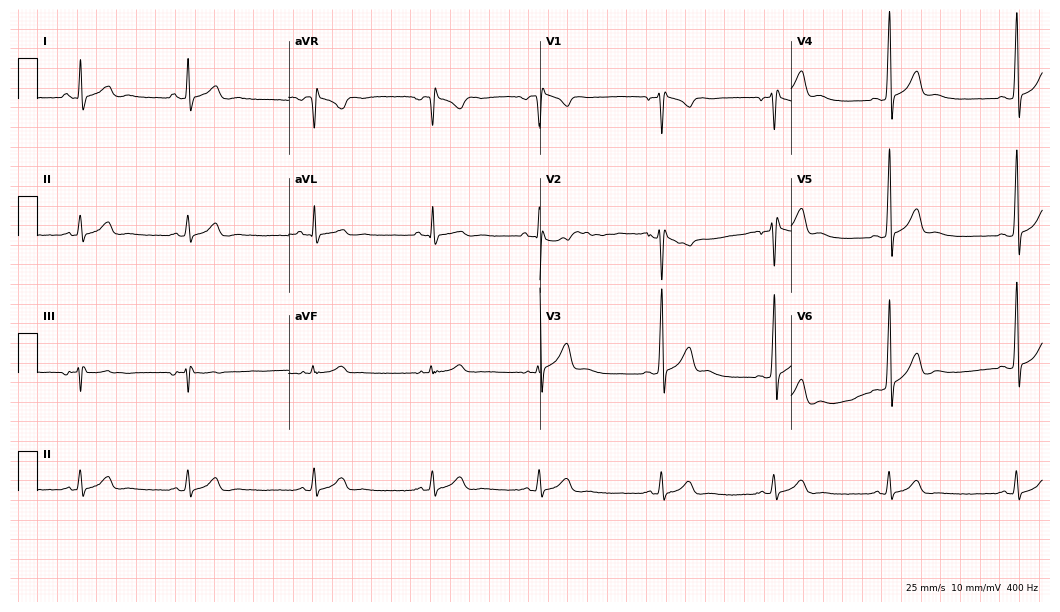
12-lead ECG from a man, 25 years old. Labelled as a normal ECG.